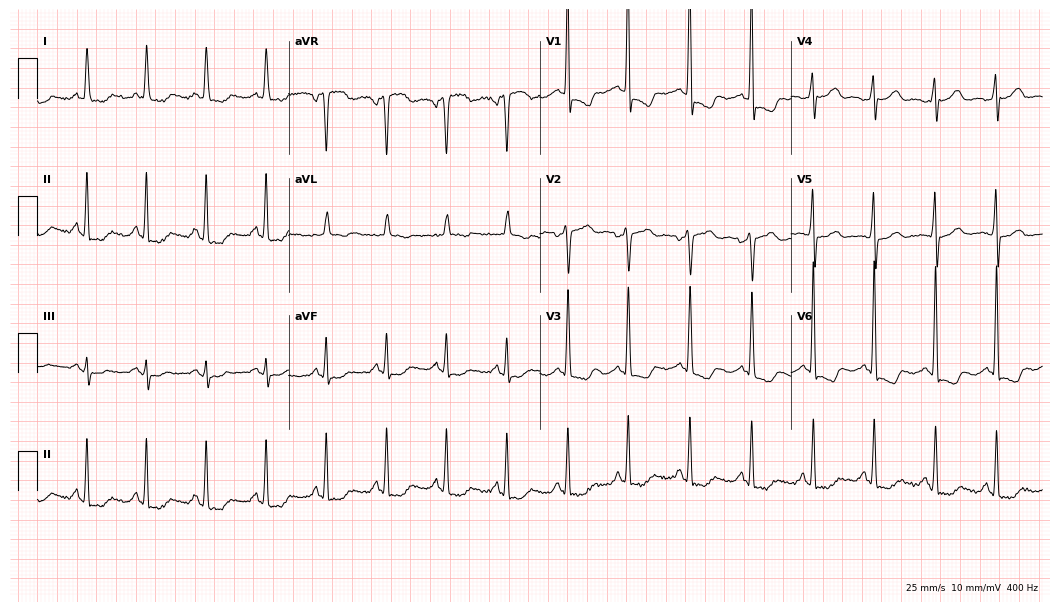
Standard 12-lead ECG recorded from a female patient, 76 years old (10.2-second recording at 400 Hz). None of these six findings is recorded: first-degree AV block, right bundle branch block, left bundle branch block, sinus bradycardia, atrial fibrillation, sinus tachycardia. Other findings, if any, are not listed.